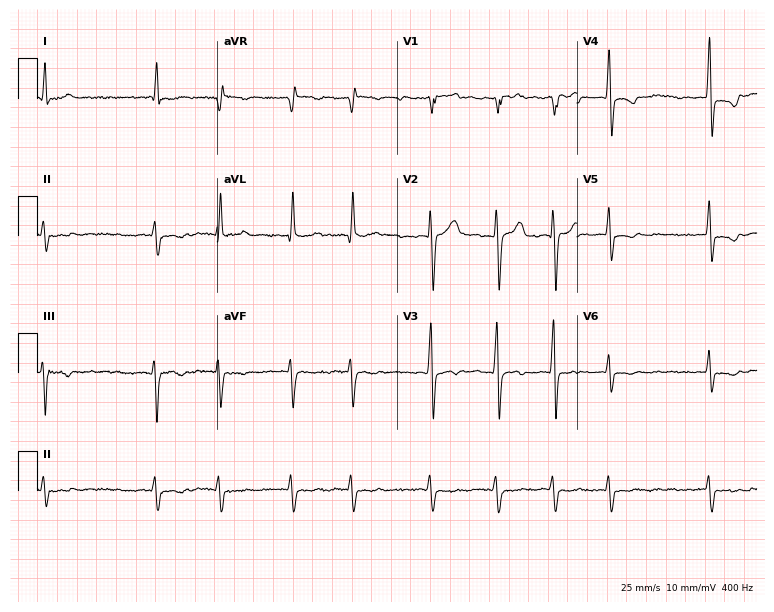
12-lead ECG from a 64-year-old male patient (7.3-second recording at 400 Hz). Shows atrial fibrillation (AF).